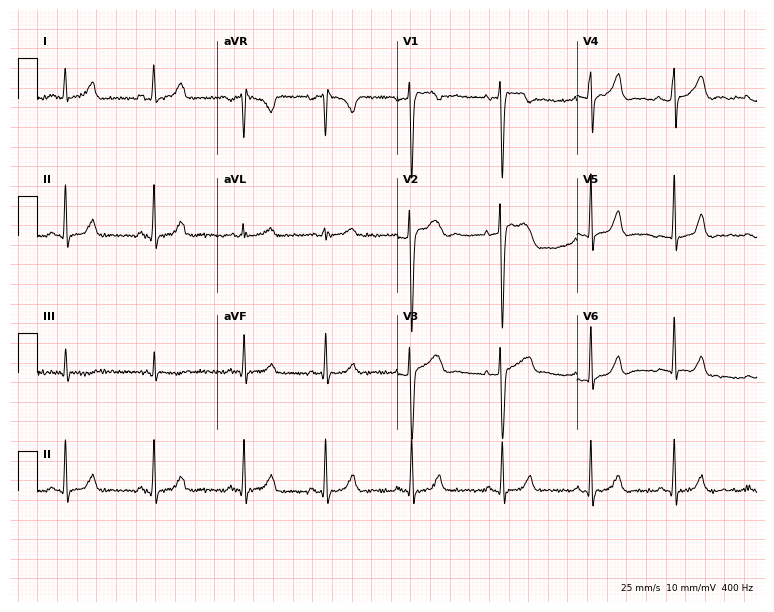
Resting 12-lead electrocardiogram (7.3-second recording at 400 Hz). Patient: a 31-year-old female. None of these six findings is recorded: first-degree AV block, right bundle branch block, left bundle branch block, sinus bradycardia, atrial fibrillation, sinus tachycardia.